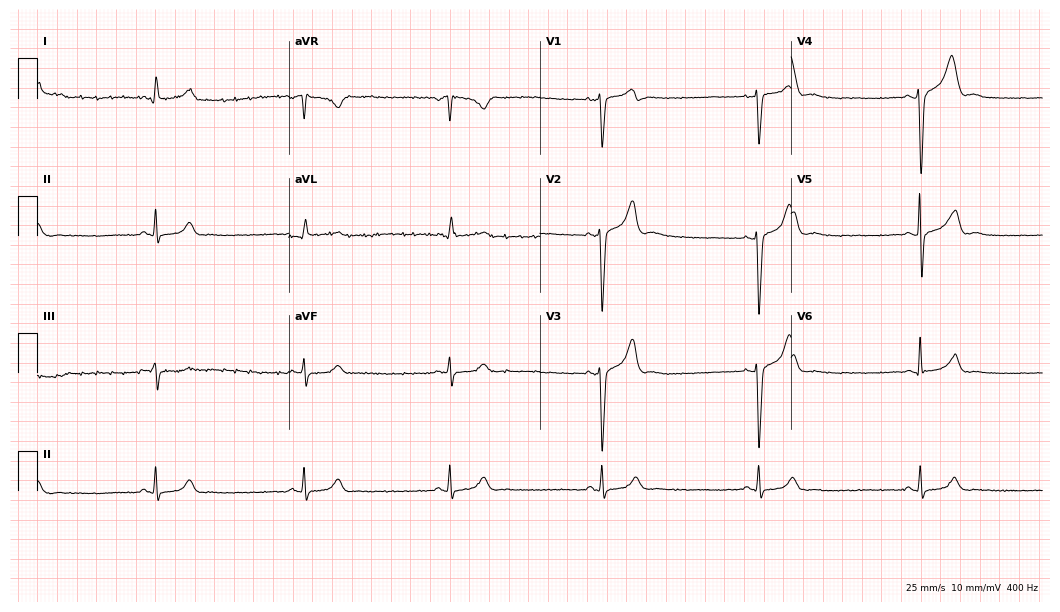
12-lead ECG (10.2-second recording at 400 Hz) from a 67-year-old male patient. Screened for six findings — first-degree AV block, right bundle branch block, left bundle branch block, sinus bradycardia, atrial fibrillation, sinus tachycardia — none is recorded.